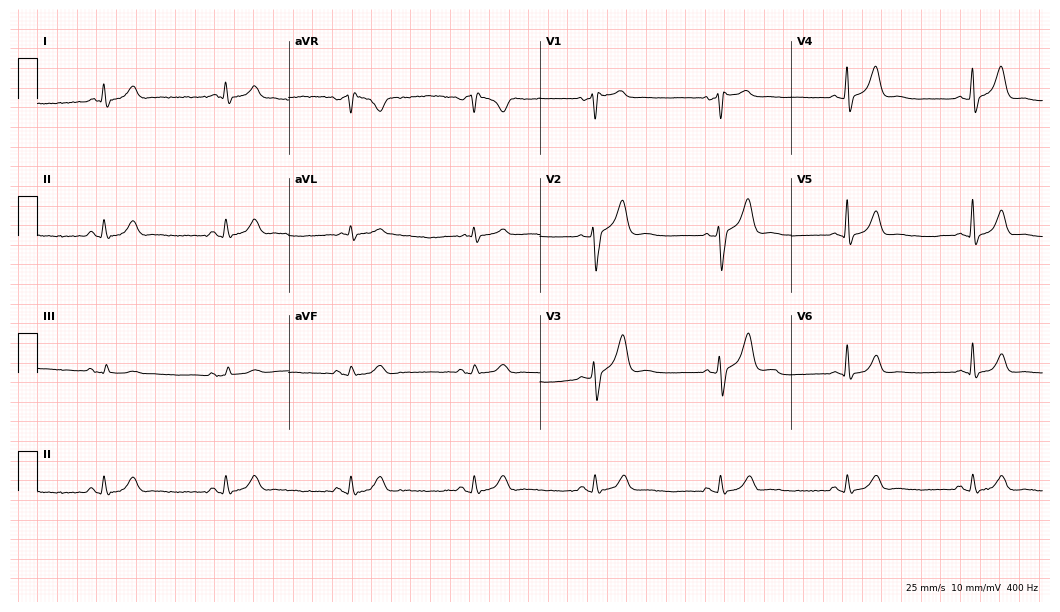
12-lead ECG (10.2-second recording at 400 Hz) from a 67-year-old man. Findings include sinus bradycardia (a sinus rate of 50 beats per minute or less).